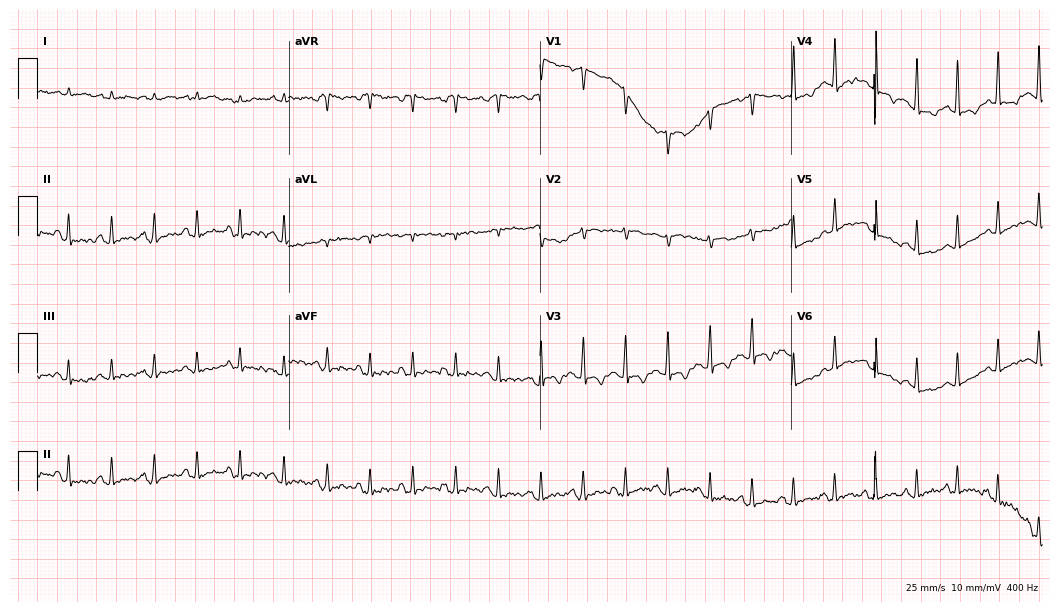
Electrocardiogram (10.2-second recording at 400 Hz), a 34-year-old female patient. Of the six screened findings (first-degree AV block, right bundle branch block, left bundle branch block, sinus bradycardia, atrial fibrillation, sinus tachycardia), none is recorded. Other findings, if any, are not listed.